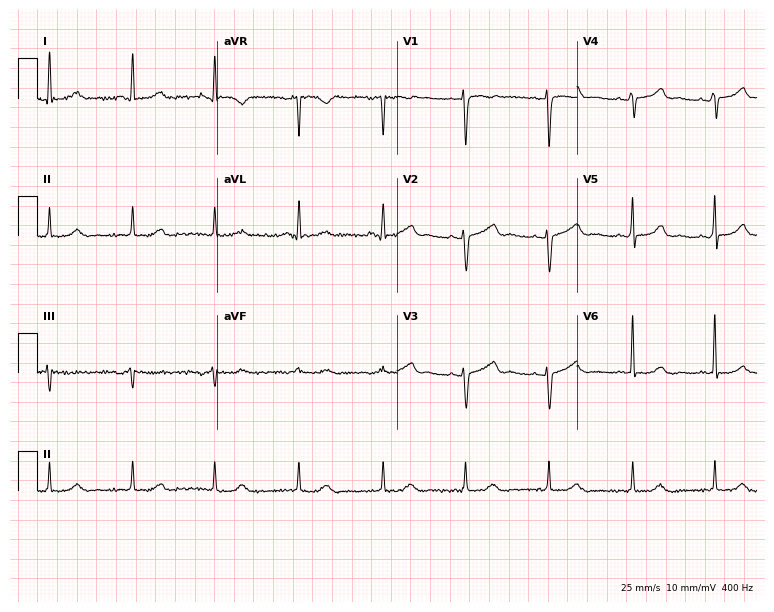
12-lead ECG from a female patient, 46 years old (7.3-second recording at 400 Hz). No first-degree AV block, right bundle branch block, left bundle branch block, sinus bradycardia, atrial fibrillation or sinus tachycardia recorded for this tracing. Findings outside these six are not listed.